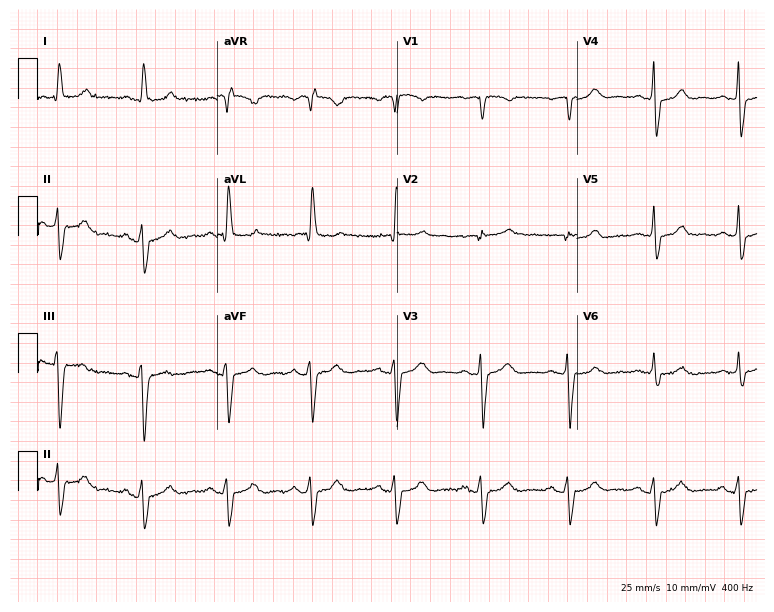
12-lead ECG (7.3-second recording at 400 Hz) from a 65-year-old female patient. Screened for six findings — first-degree AV block, right bundle branch block, left bundle branch block, sinus bradycardia, atrial fibrillation, sinus tachycardia — none is recorded. Only these six findings were labelled.